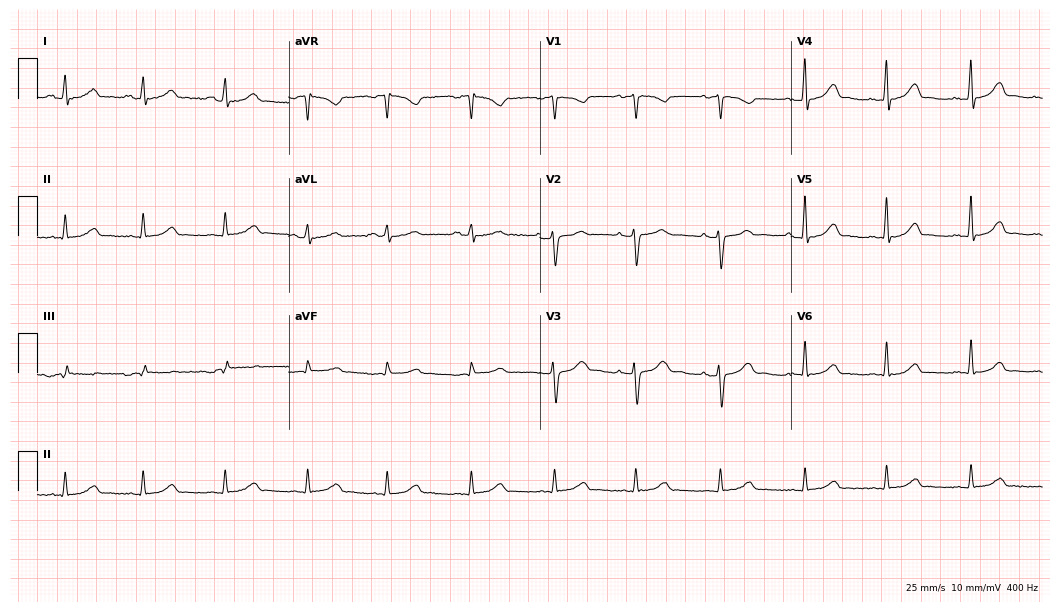
Electrocardiogram, a female, 32 years old. Overall reading on record: normal ECG.